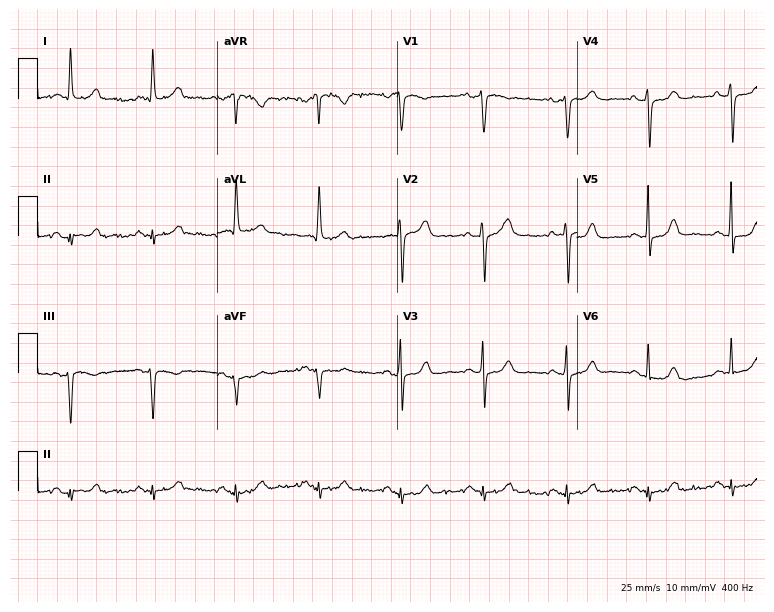
Standard 12-lead ECG recorded from an 84-year-old woman. None of these six findings is recorded: first-degree AV block, right bundle branch block, left bundle branch block, sinus bradycardia, atrial fibrillation, sinus tachycardia.